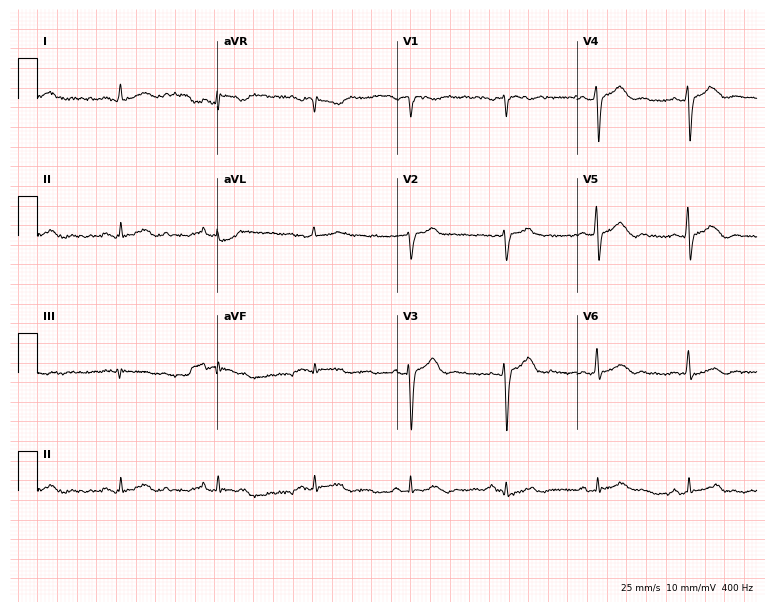
Standard 12-lead ECG recorded from a man, 62 years old. None of these six findings is recorded: first-degree AV block, right bundle branch block, left bundle branch block, sinus bradycardia, atrial fibrillation, sinus tachycardia.